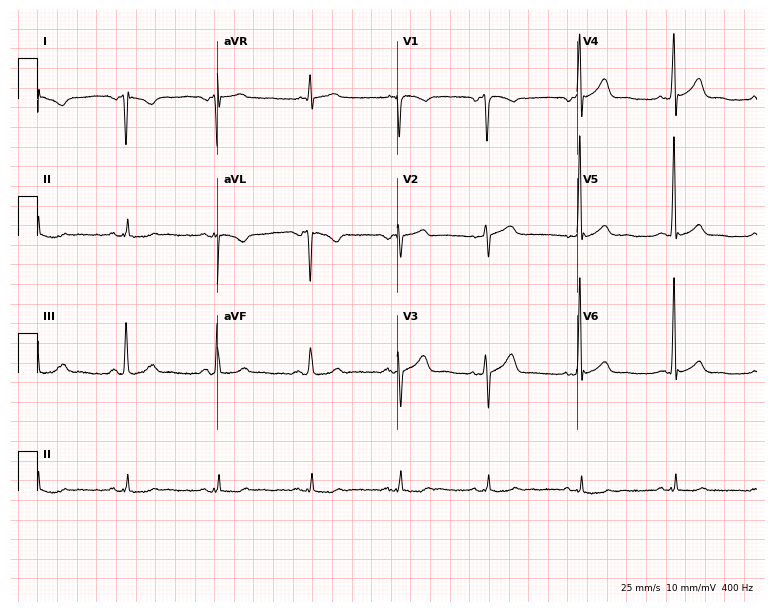
12-lead ECG from a 36-year-old male patient (7.3-second recording at 400 Hz). No first-degree AV block, right bundle branch block (RBBB), left bundle branch block (LBBB), sinus bradycardia, atrial fibrillation (AF) or sinus tachycardia recorded for this tracing. Other findings, if any, are not listed.